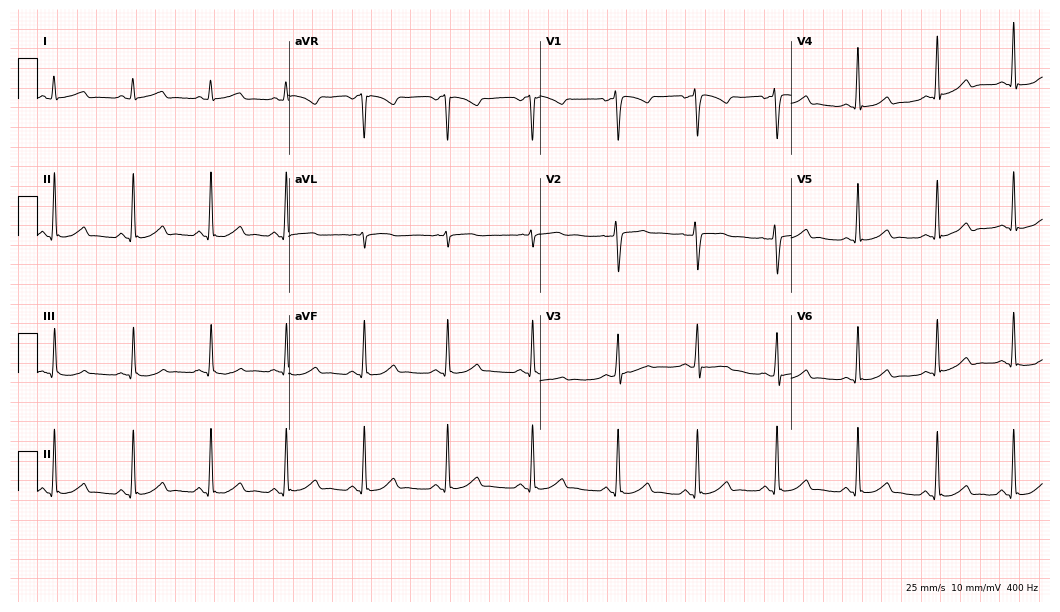
ECG (10.2-second recording at 400 Hz) — a female patient, 32 years old. Screened for six findings — first-degree AV block, right bundle branch block, left bundle branch block, sinus bradycardia, atrial fibrillation, sinus tachycardia — none is recorded. Only these six findings were labelled.